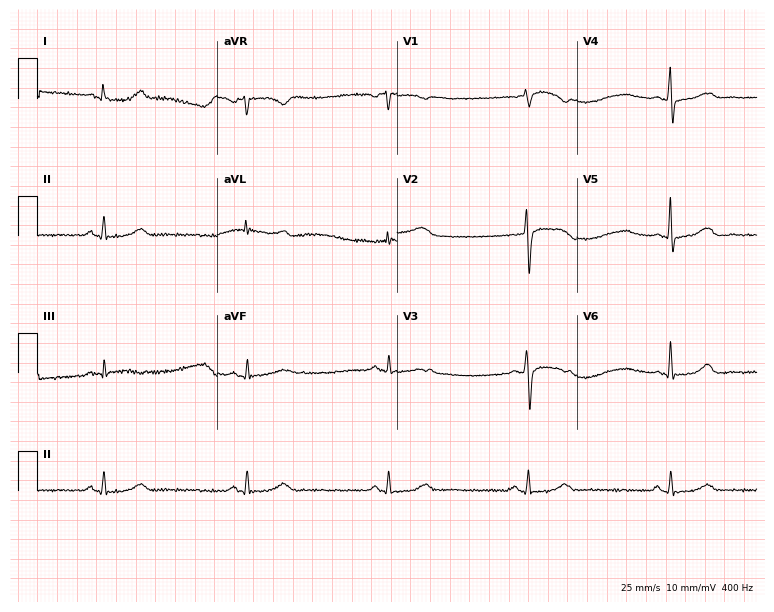
ECG (7.3-second recording at 400 Hz) — a woman, 57 years old. Screened for six findings — first-degree AV block, right bundle branch block (RBBB), left bundle branch block (LBBB), sinus bradycardia, atrial fibrillation (AF), sinus tachycardia — none is recorded. Other findings, if any, are not listed.